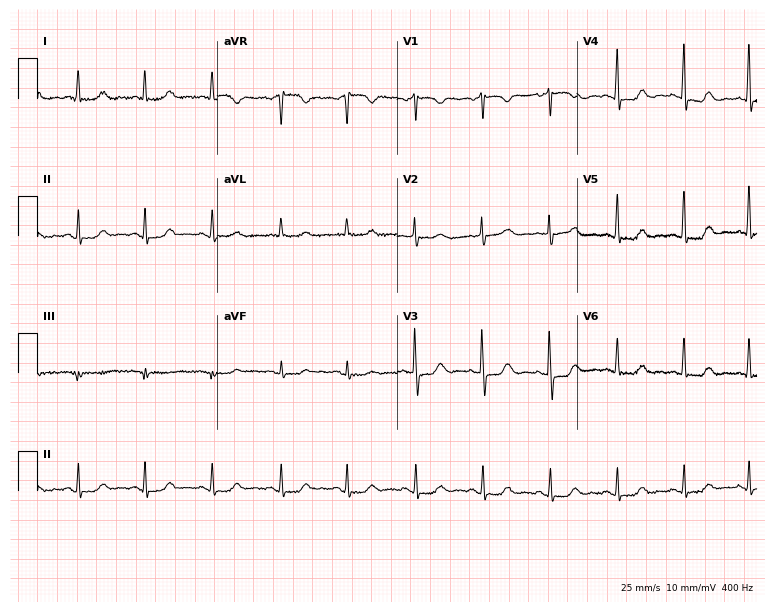
Resting 12-lead electrocardiogram (7.3-second recording at 400 Hz). Patient: a woman, 73 years old. Read as a normal ECG.